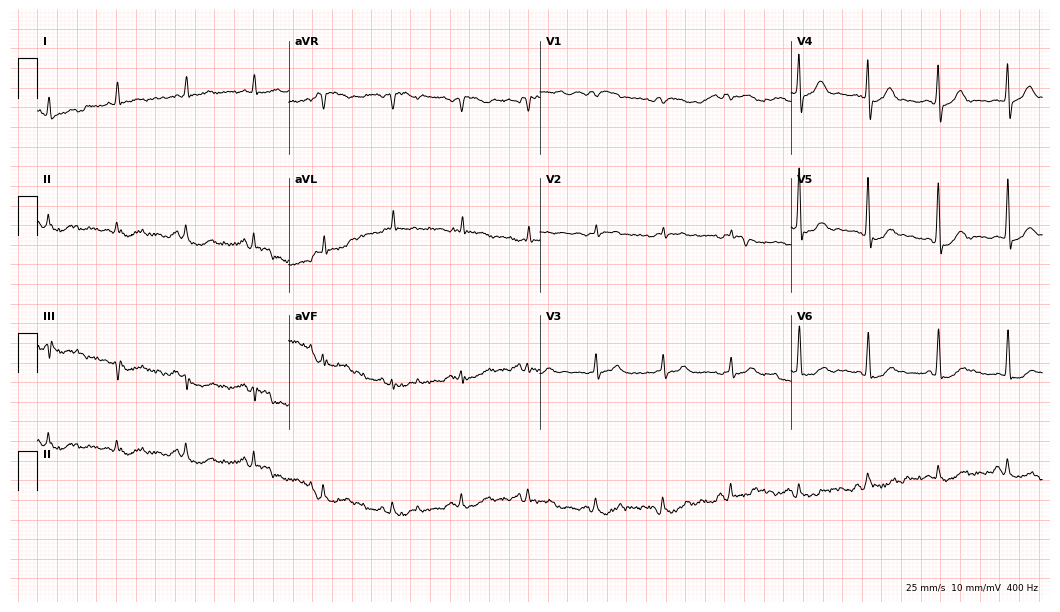
12-lead ECG from an 84-year-old male patient. No first-degree AV block, right bundle branch block, left bundle branch block, sinus bradycardia, atrial fibrillation or sinus tachycardia recorded for this tracing. Findings outside these six are not listed.